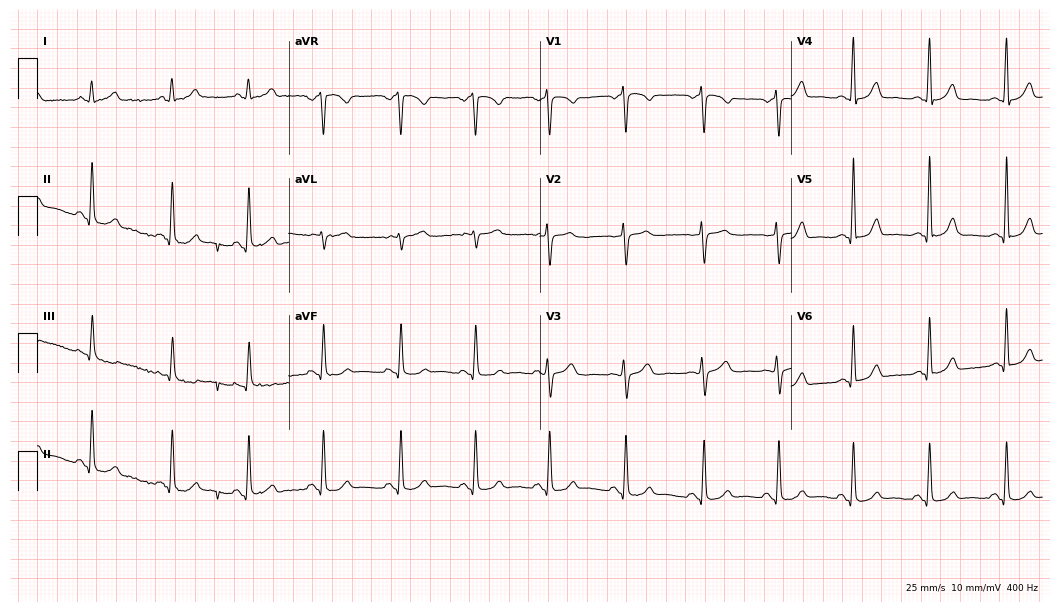
12-lead ECG from a woman, 29 years old. Screened for six findings — first-degree AV block, right bundle branch block, left bundle branch block, sinus bradycardia, atrial fibrillation, sinus tachycardia — none is recorded. Findings outside these six are not listed.